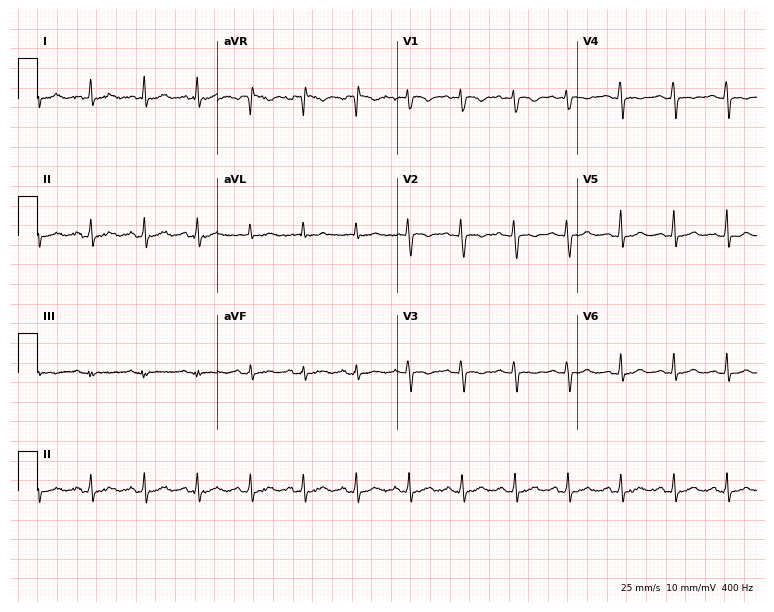
ECG — a 43-year-old female patient. Findings include sinus tachycardia (a sinus rate of 100 beats per minute or more).